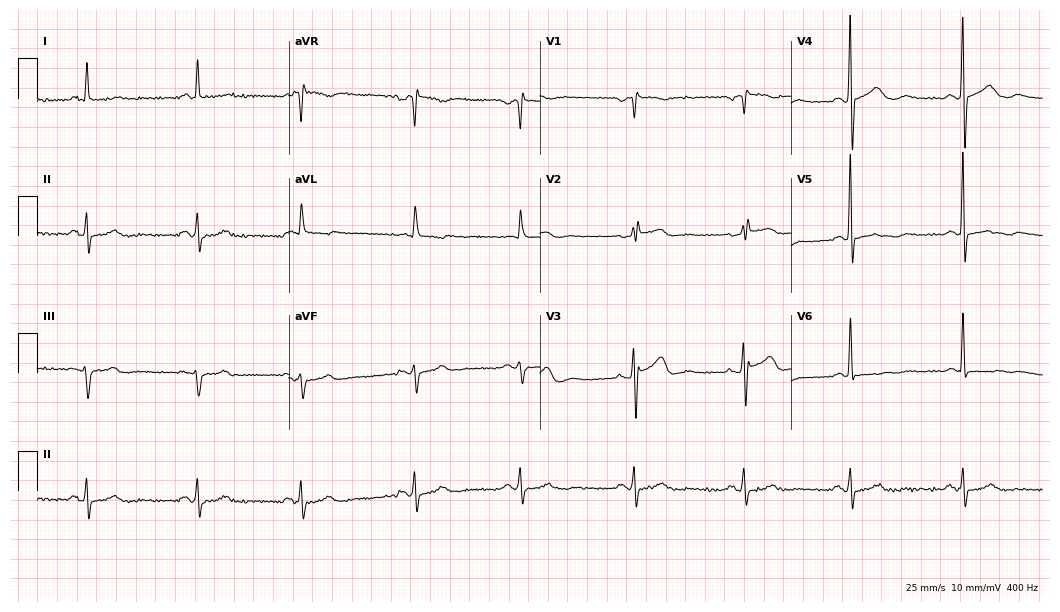
12-lead ECG from a 66-year-old woman (10.2-second recording at 400 Hz). No first-degree AV block, right bundle branch block, left bundle branch block, sinus bradycardia, atrial fibrillation or sinus tachycardia recorded for this tracing.